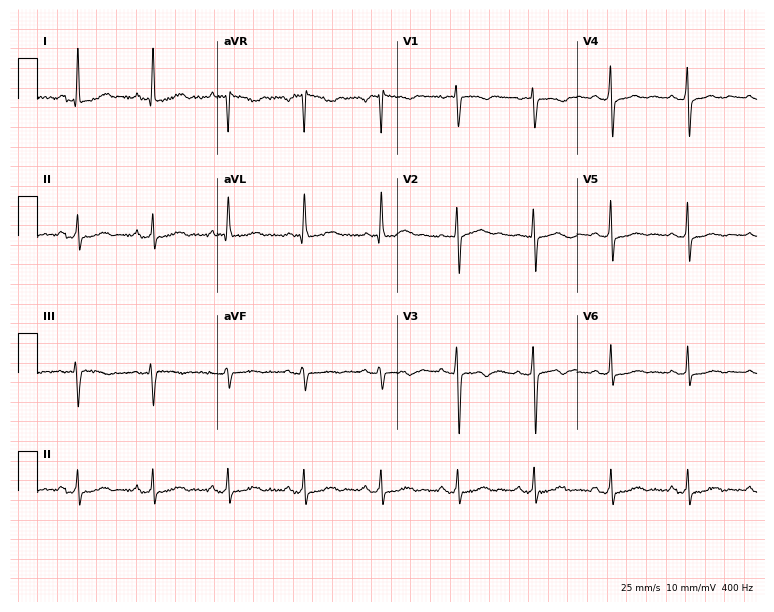
Resting 12-lead electrocardiogram (7.3-second recording at 400 Hz). Patient: a female, 59 years old. None of these six findings is recorded: first-degree AV block, right bundle branch block, left bundle branch block, sinus bradycardia, atrial fibrillation, sinus tachycardia. Only these six findings were labelled.